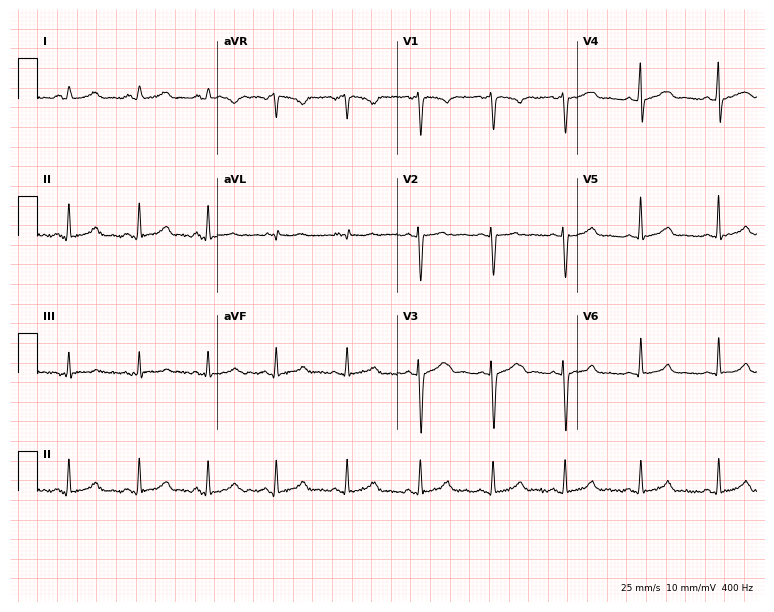
12-lead ECG from a 21-year-old female patient (7.3-second recording at 400 Hz). Recorded interpretation: within normal limits.